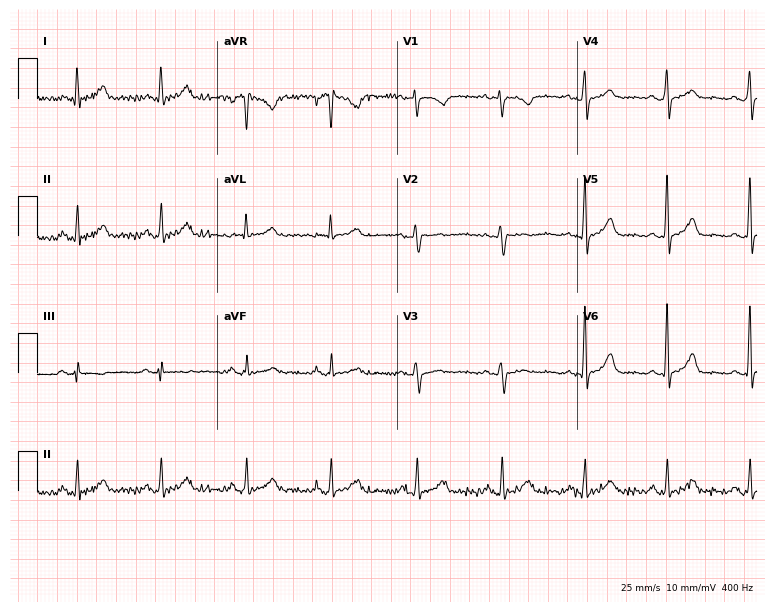
ECG — a female, 58 years old. Labelled as a normal ECG.